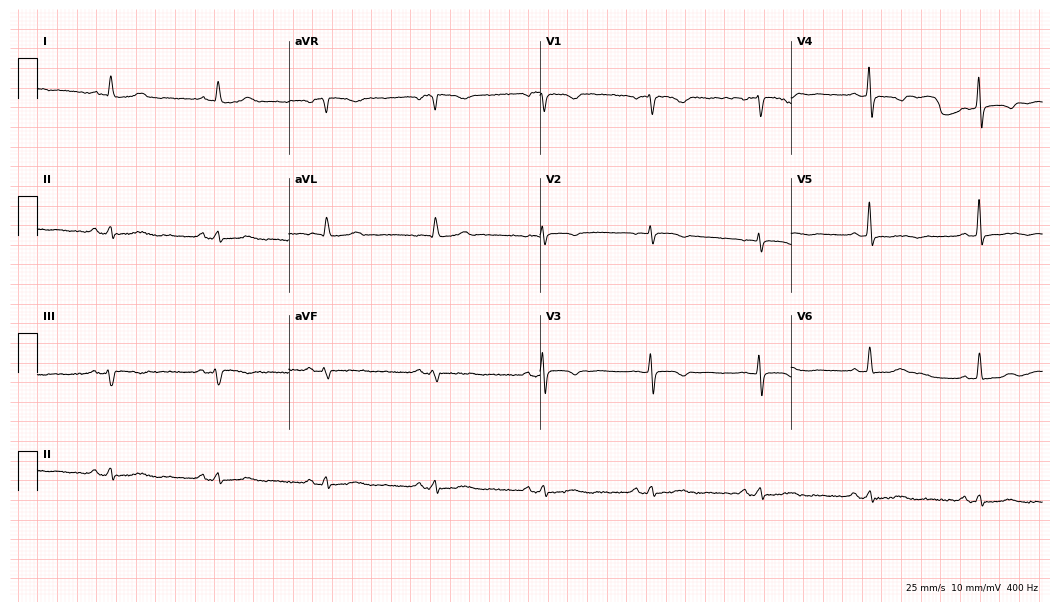
12-lead ECG from a 74-year-old female patient. No first-degree AV block, right bundle branch block, left bundle branch block, sinus bradycardia, atrial fibrillation or sinus tachycardia recorded for this tracing.